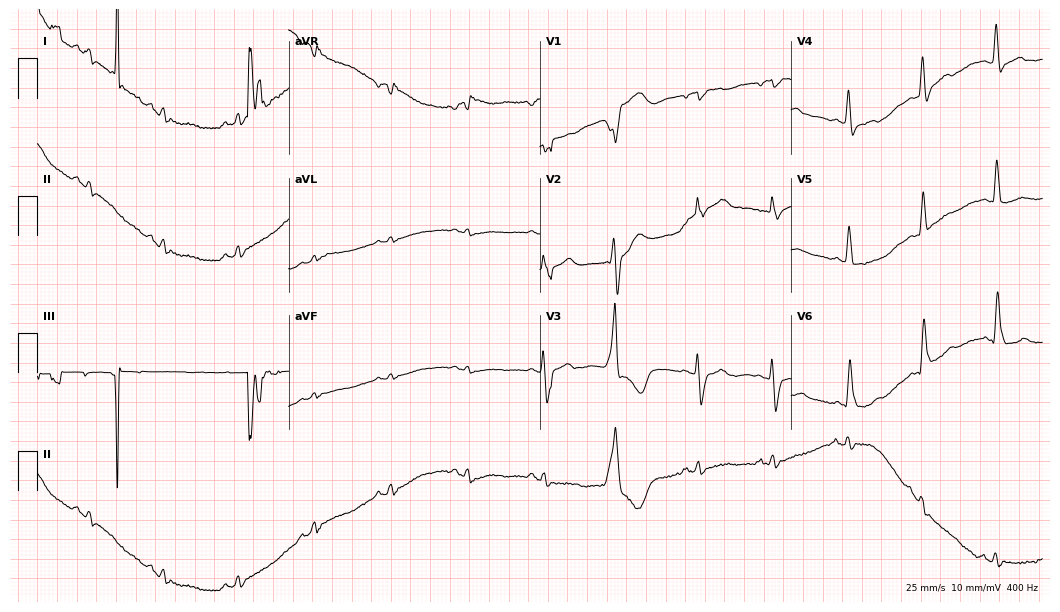
Resting 12-lead electrocardiogram. Patient: a female, 75 years old. None of these six findings is recorded: first-degree AV block, right bundle branch block, left bundle branch block, sinus bradycardia, atrial fibrillation, sinus tachycardia. Only these six findings were labelled.